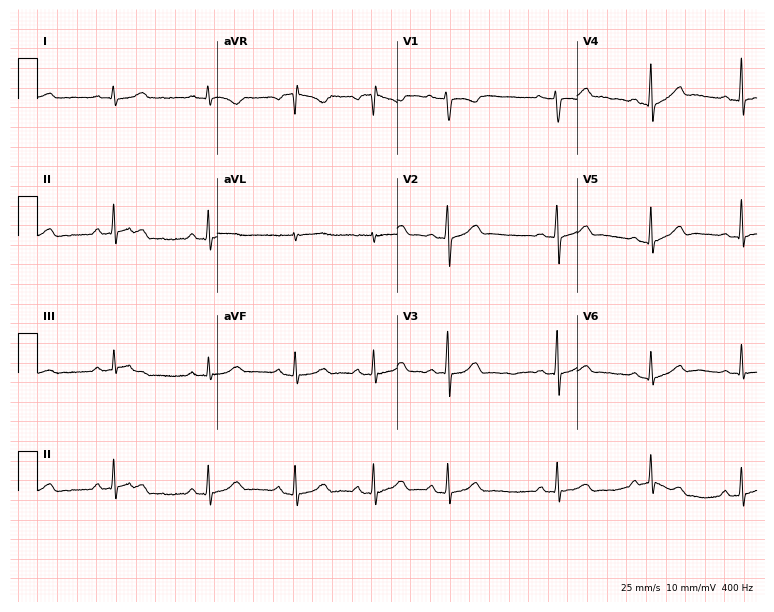
Standard 12-lead ECG recorded from a female, 24 years old. None of these six findings is recorded: first-degree AV block, right bundle branch block (RBBB), left bundle branch block (LBBB), sinus bradycardia, atrial fibrillation (AF), sinus tachycardia. Other findings, if any, are not listed.